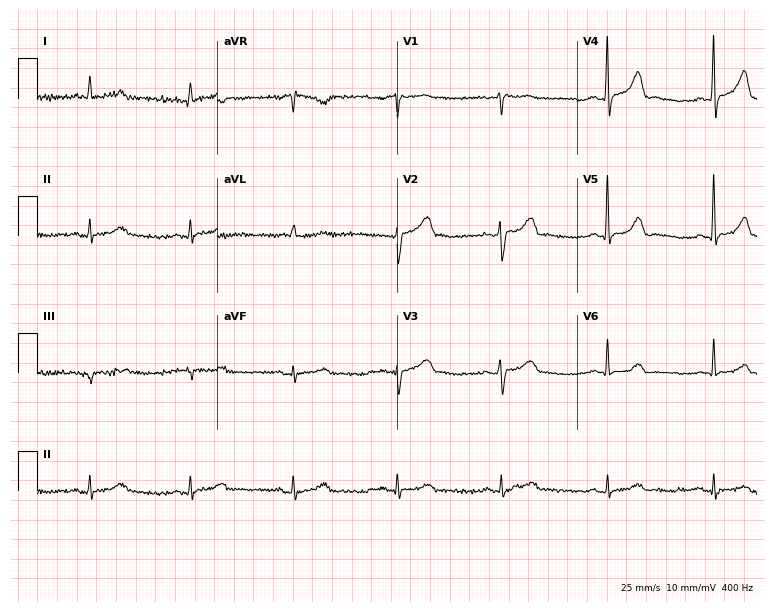
Resting 12-lead electrocardiogram. Patient: a 72-year-old man. Read as a normal ECG.